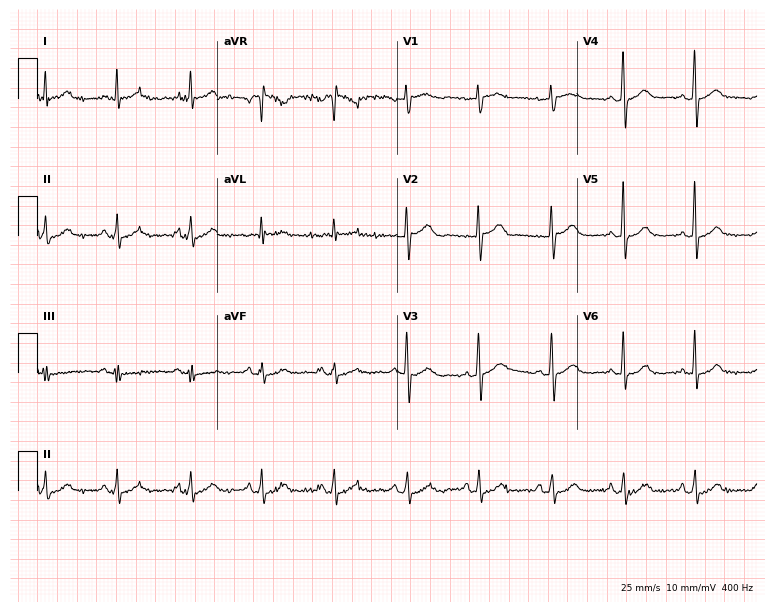
Electrocardiogram, a female, 61 years old. Overall reading on record: normal ECG.